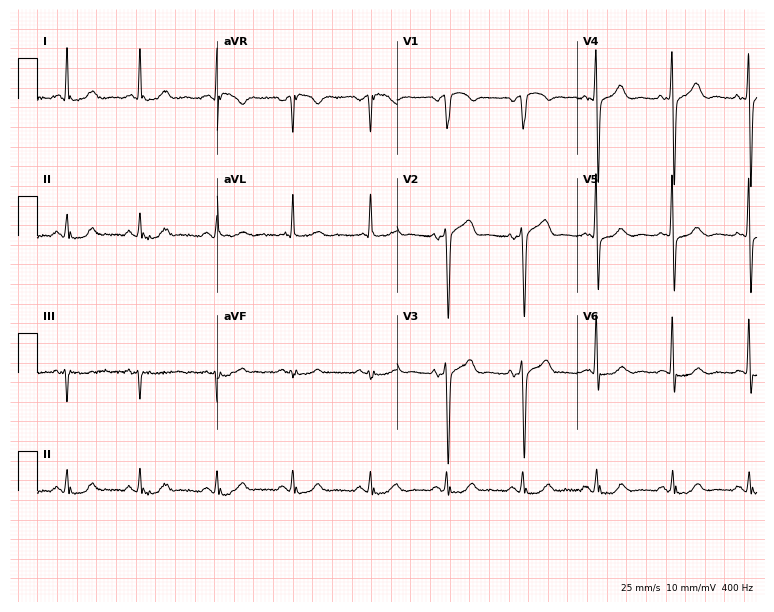
12-lead ECG from a 62-year-old male. No first-degree AV block, right bundle branch block (RBBB), left bundle branch block (LBBB), sinus bradycardia, atrial fibrillation (AF) or sinus tachycardia recorded for this tracing.